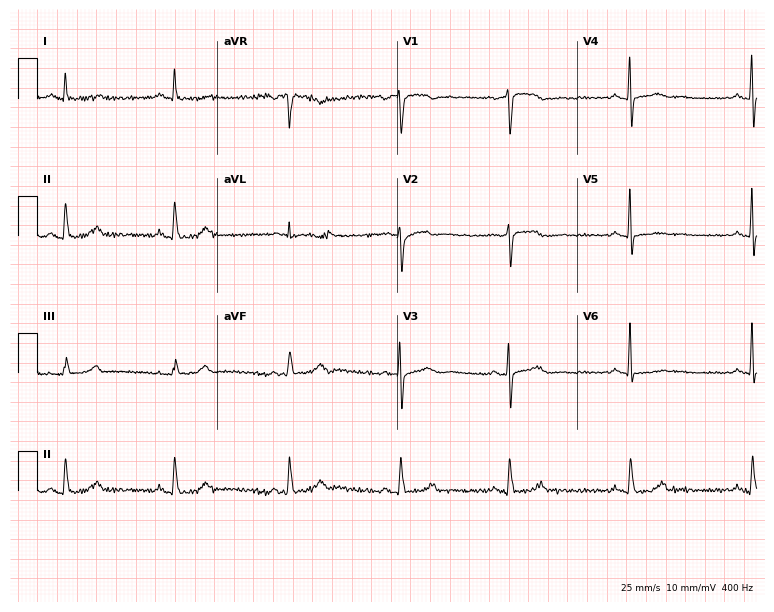
12-lead ECG (7.3-second recording at 400 Hz) from a woman, 56 years old. Labelled as a normal ECG.